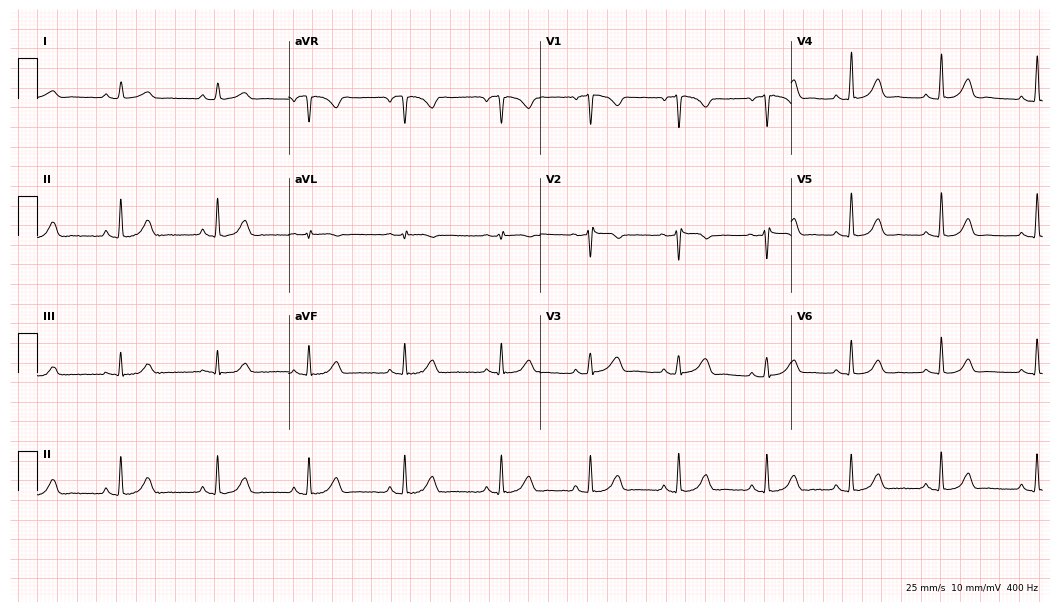
Standard 12-lead ECG recorded from a female, 29 years old (10.2-second recording at 400 Hz). Read as a normal ECG.